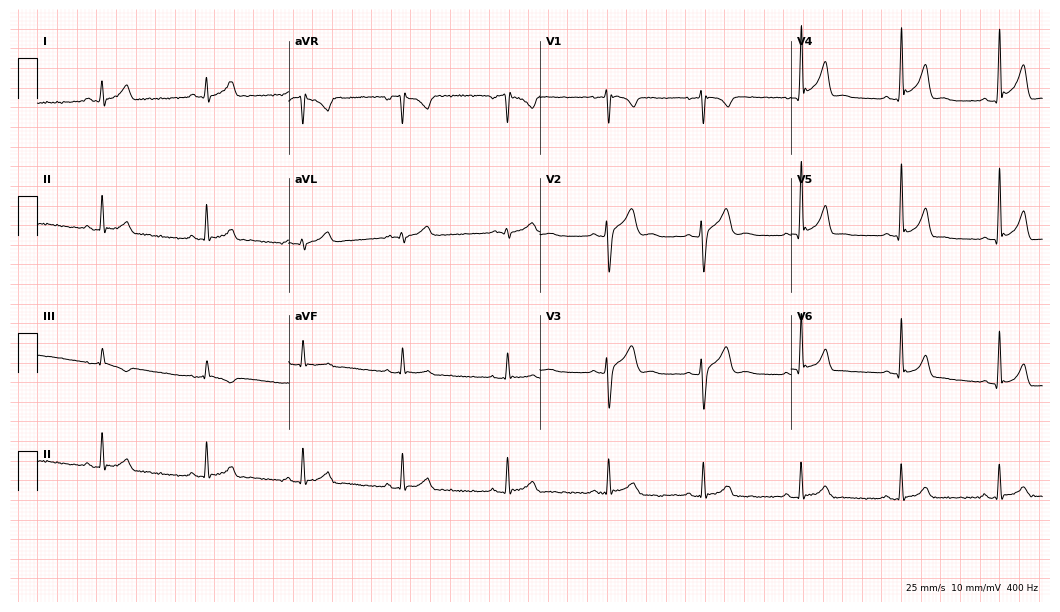
Electrocardiogram (10.2-second recording at 400 Hz), a male patient, 25 years old. Overall reading on record: normal ECG.